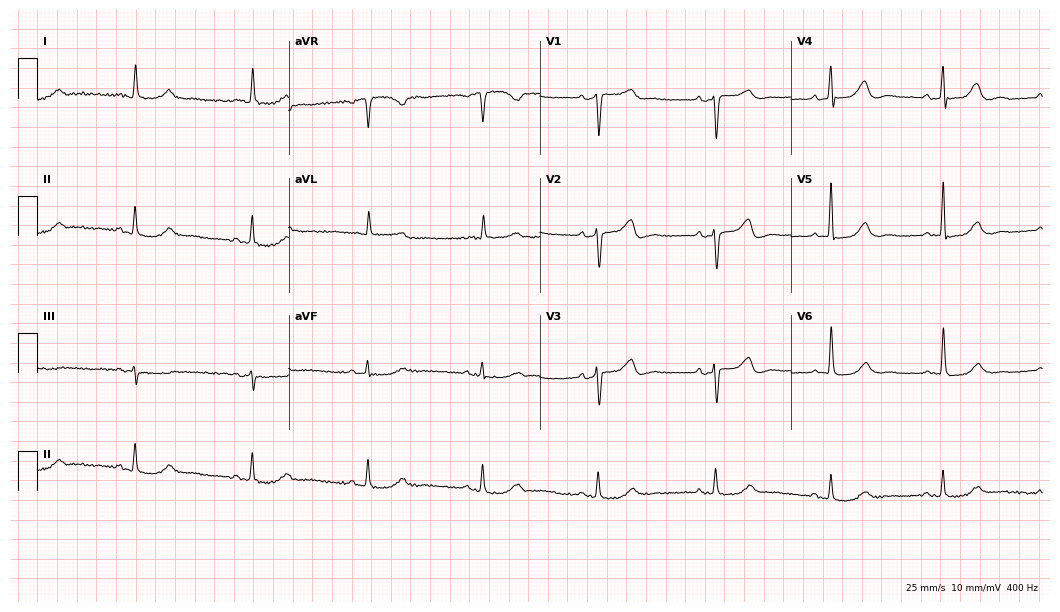
Electrocardiogram (10.2-second recording at 400 Hz), a 76-year-old female. Overall reading on record: normal ECG.